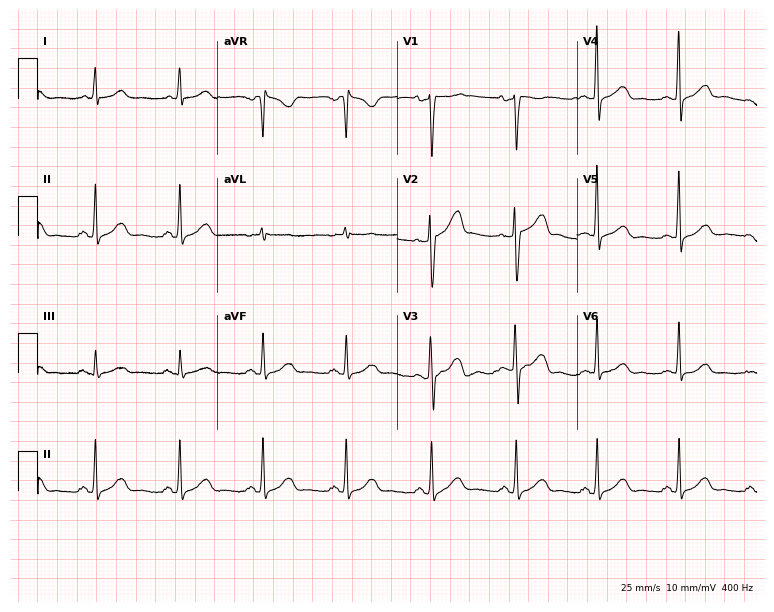
ECG — a man, 46 years old. Labelled as a normal ECG.